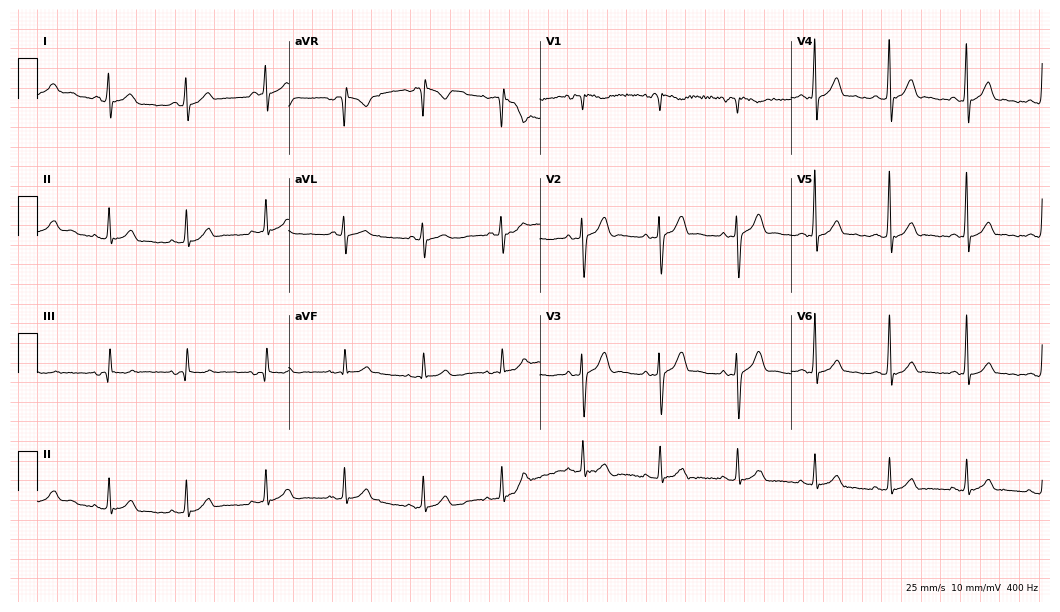
12-lead ECG from a male, 23 years old. Recorded interpretation: within normal limits.